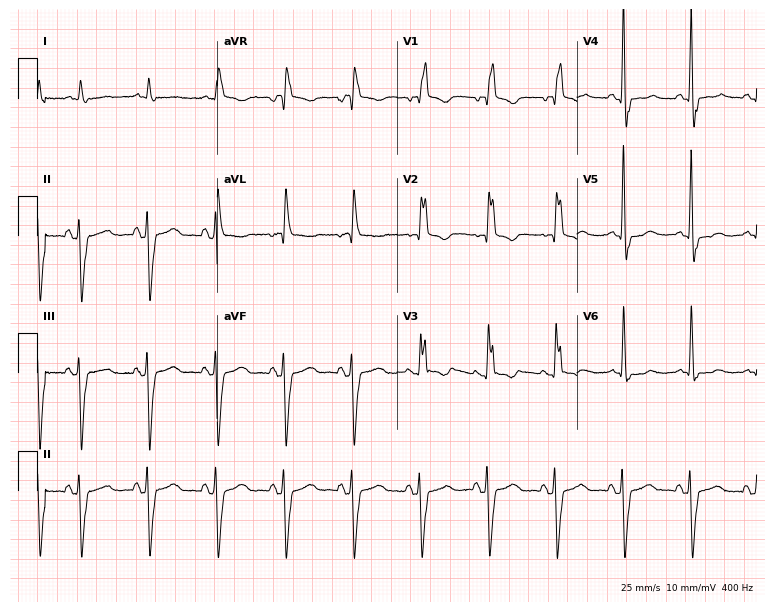
Resting 12-lead electrocardiogram (7.3-second recording at 400 Hz). Patient: a female, 85 years old. The tracing shows right bundle branch block (RBBB).